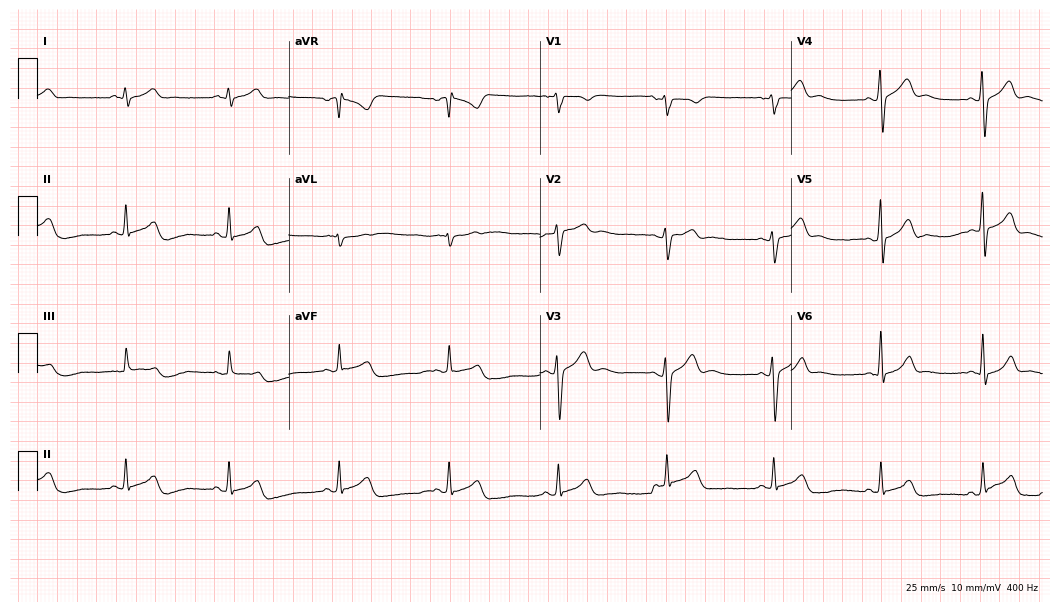
ECG — a man, 27 years old. Labelled as a normal ECG.